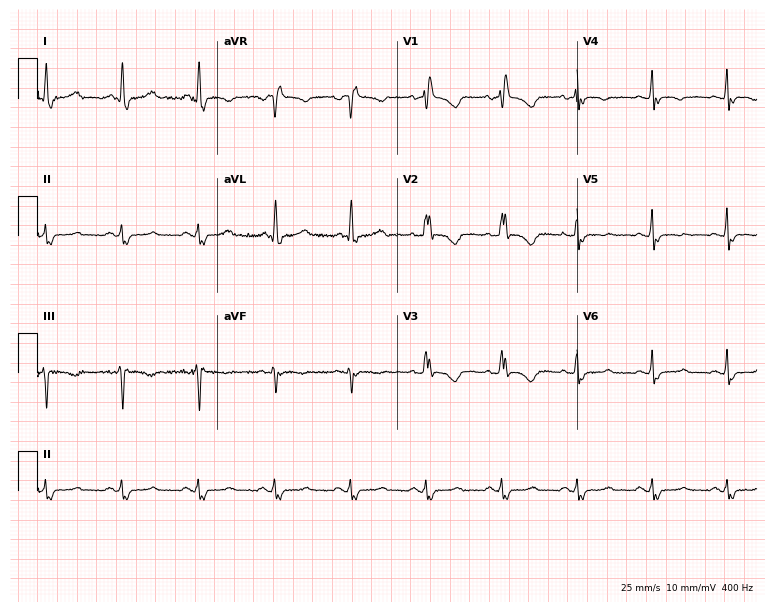
12-lead ECG (7.3-second recording at 400 Hz) from a woman, 48 years old. Findings include right bundle branch block.